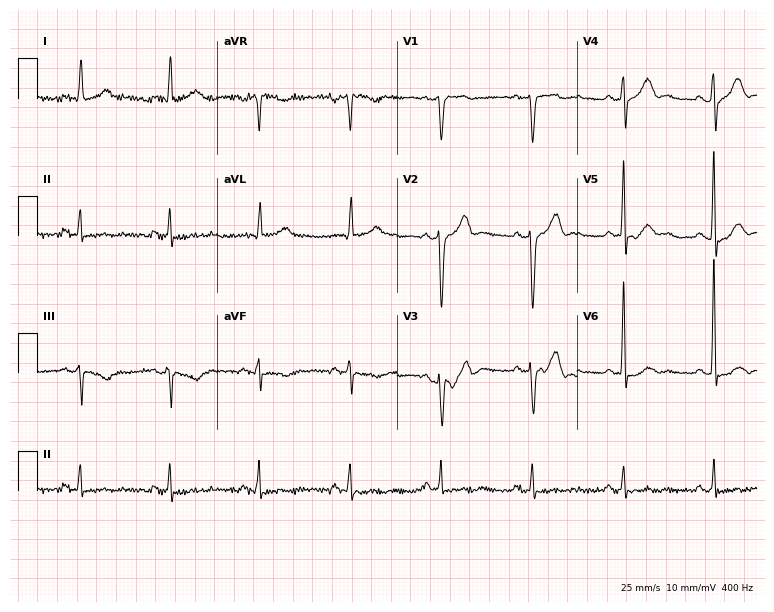
ECG — an 80-year-old male patient. Screened for six findings — first-degree AV block, right bundle branch block, left bundle branch block, sinus bradycardia, atrial fibrillation, sinus tachycardia — none is recorded.